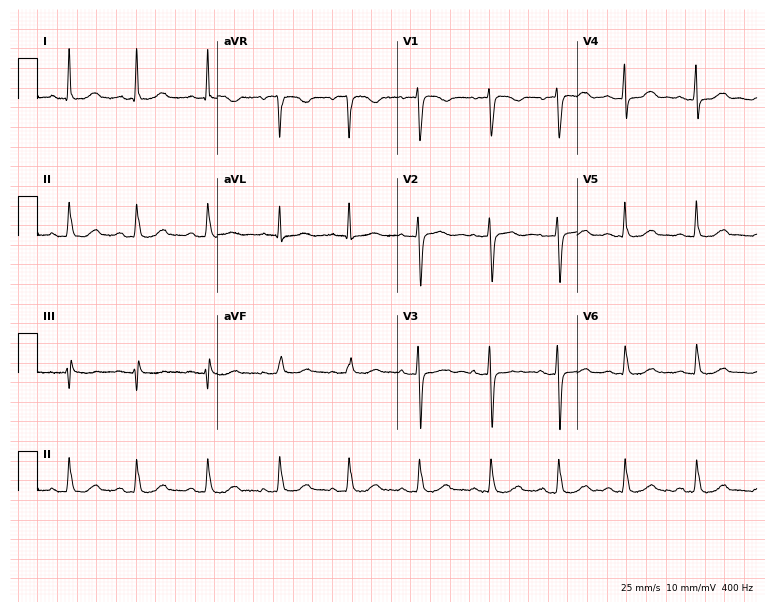
12-lead ECG (7.3-second recording at 400 Hz) from a 58-year-old woman. Labelled as a normal ECG.